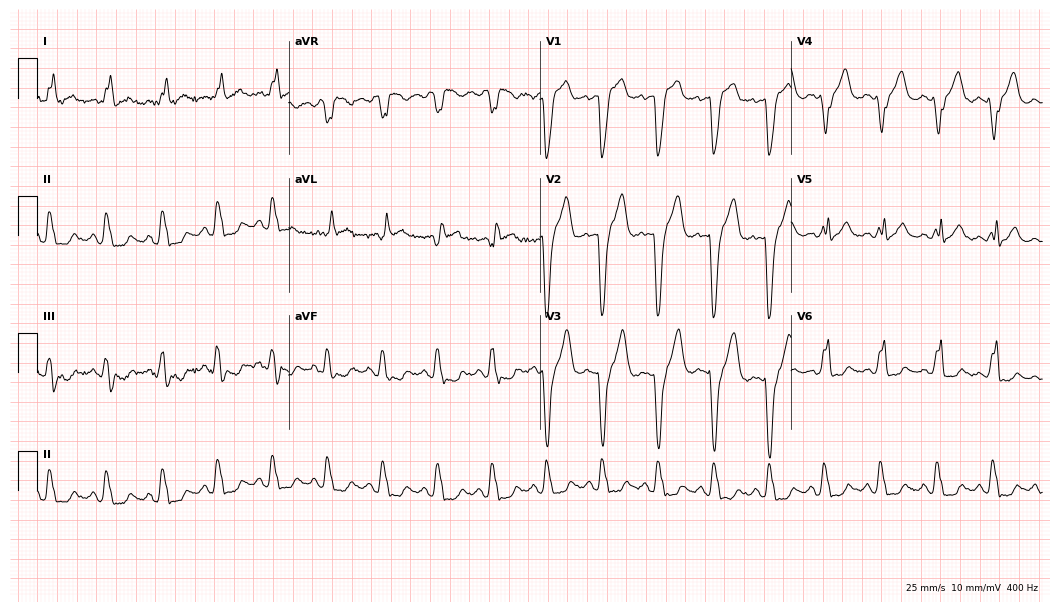
Resting 12-lead electrocardiogram (10.2-second recording at 400 Hz). Patient: a woman, 68 years old. The tracing shows left bundle branch block (LBBB), sinus tachycardia (a sinus rate of 100 beats per minute or more).